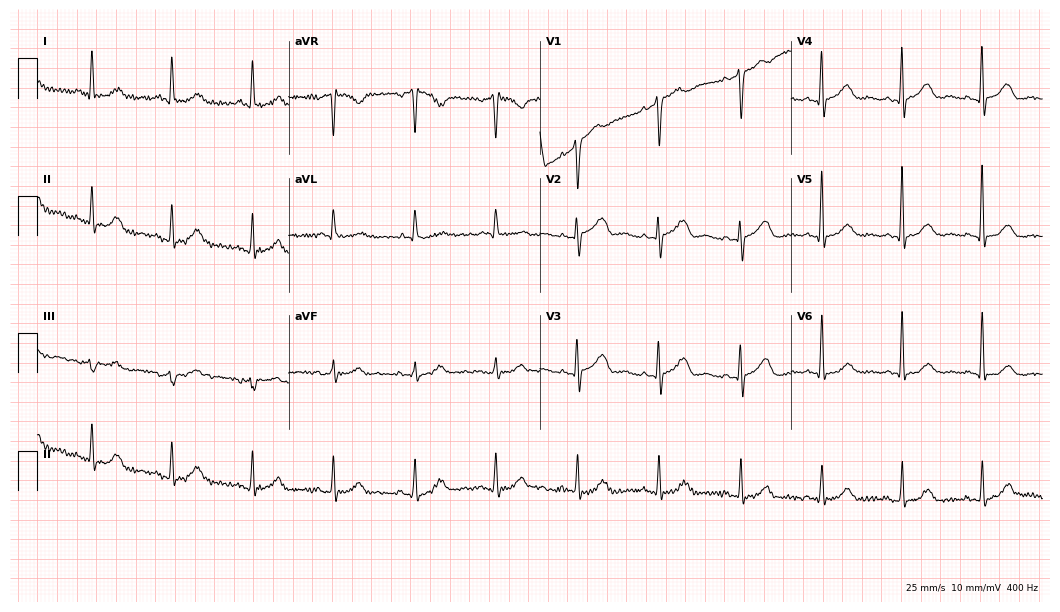
Electrocardiogram, a 60-year-old woman. Of the six screened findings (first-degree AV block, right bundle branch block, left bundle branch block, sinus bradycardia, atrial fibrillation, sinus tachycardia), none is recorded. Other findings, if any, are not listed.